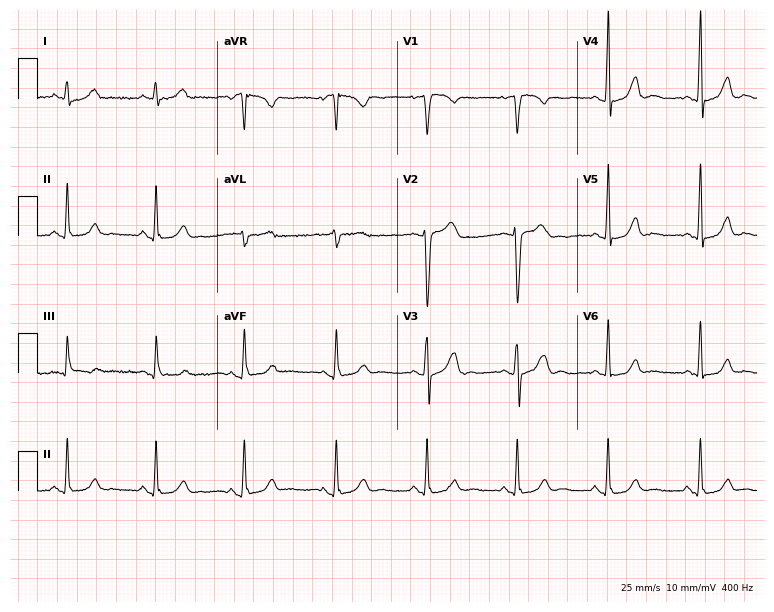
ECG (7.3-second recording at 400 Hz) — a 41-year-old female. Labelled as a normal ECG.